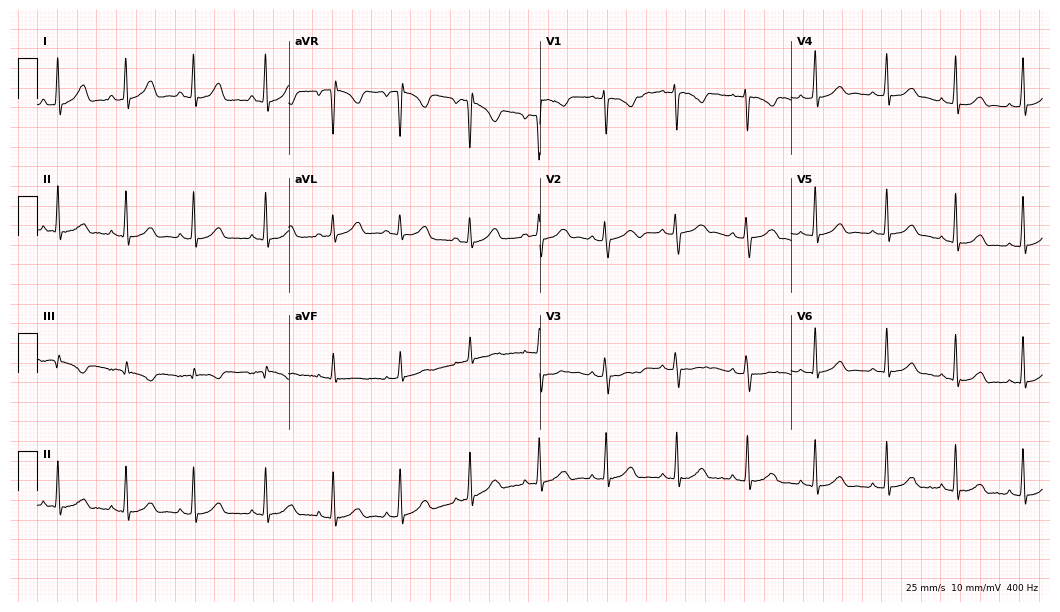
Resting 12-lead electrocardiogram. Patient: a 20-year-old female. Read as a normal ECG.